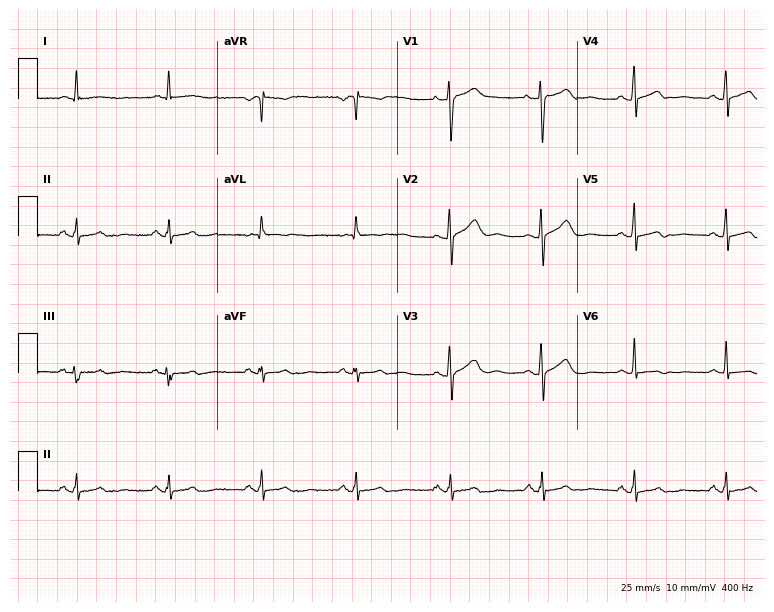
12-lead ECG from a 61-year-old female patient. Screened for six findings — first-degree AV block, right bundle branch block, left bundle branch block, sinus bradycardia, atrial fibrillation, sinus tachycardia — none is recorded.